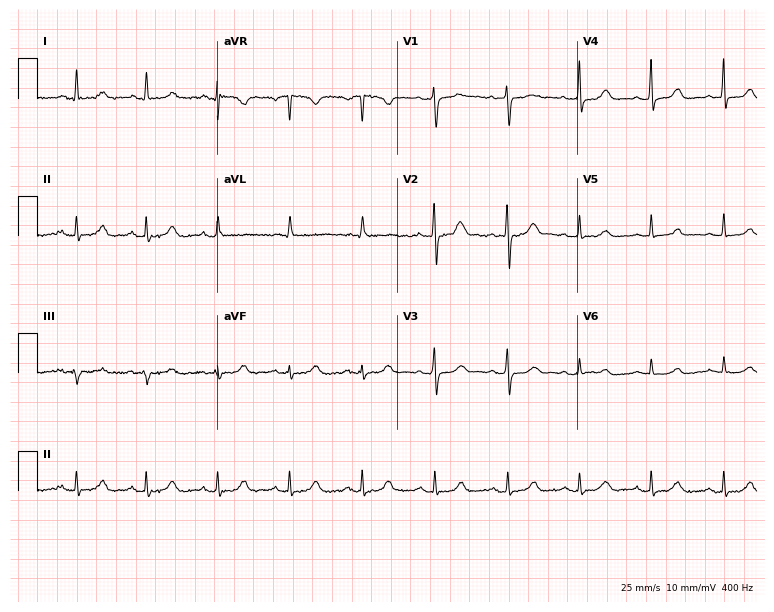
ECG (7.3-second recording at 400 Hz) — a 59-year-old female. Labelled as a normal ECG.